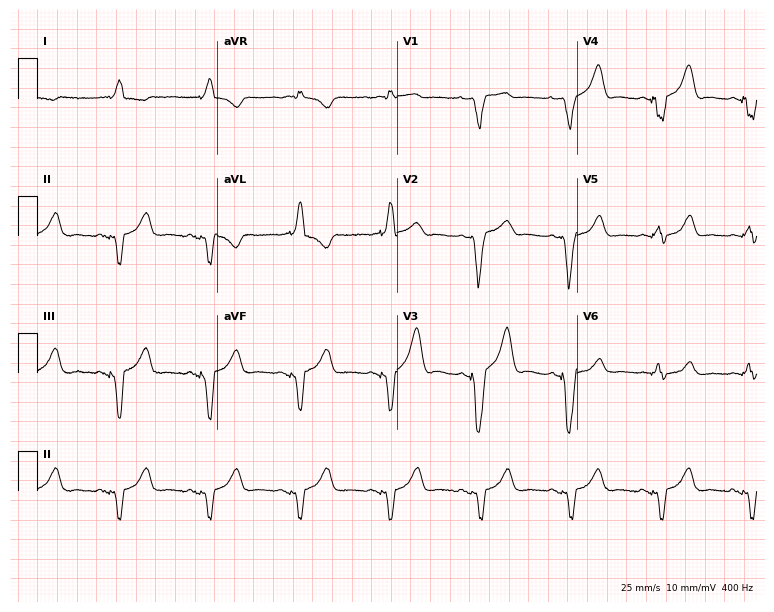
12-lead ECG (7.3-second recording at 400 Hz) from a female patient, 76 years old. Screened for six findings — first-degree AV block, right bundle branch block, left bundle branch block, sinus bradycardia, atrial fibrillation, sinus tachycardia — none is recorded.